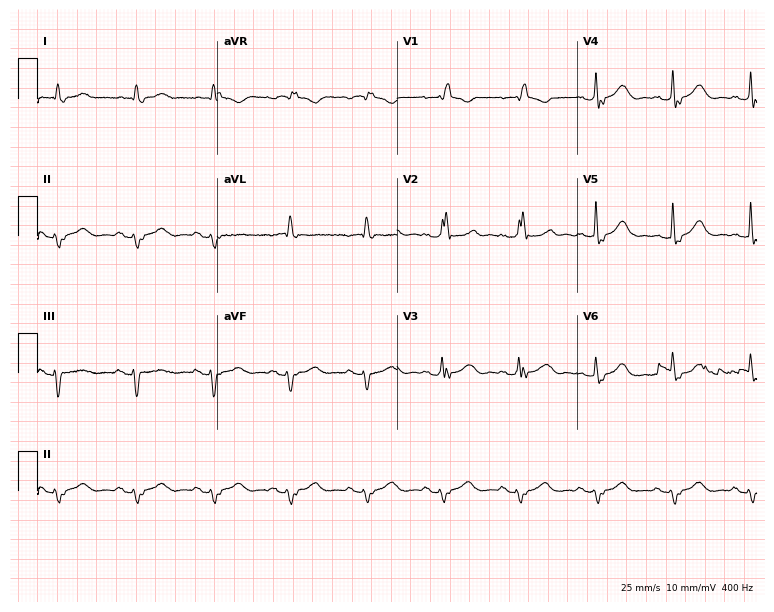
12-lead ECG (7.3-second recording at 400 Hz) from a woman, 76 years old. Findings include right bundle branch block (RBBB).